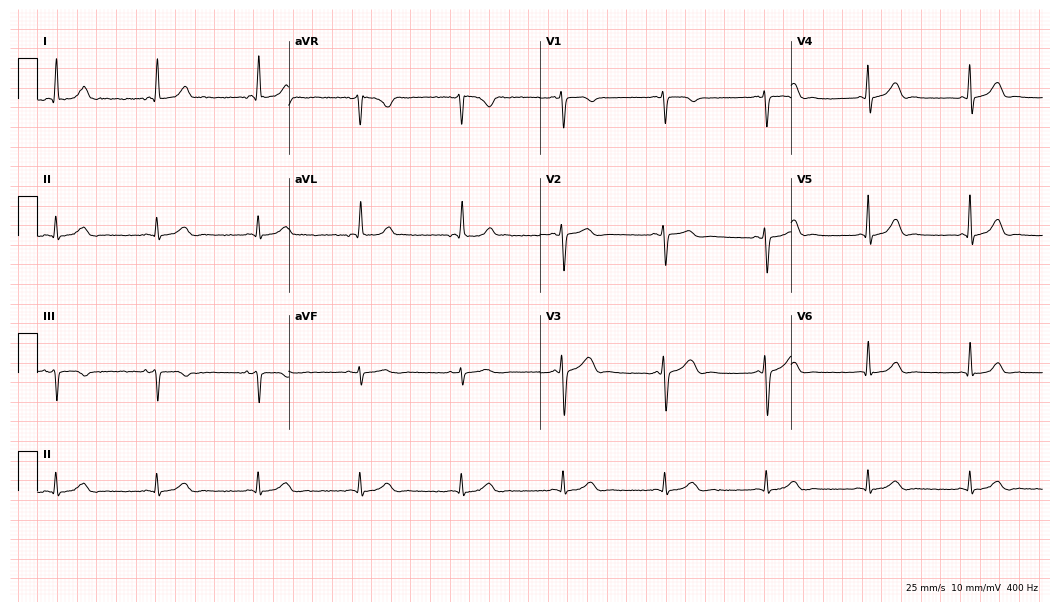
Electrocardiogram (10.2-second recording at 400 Hz), a 45-year-old woman. Overall reading on record: normal ECG.